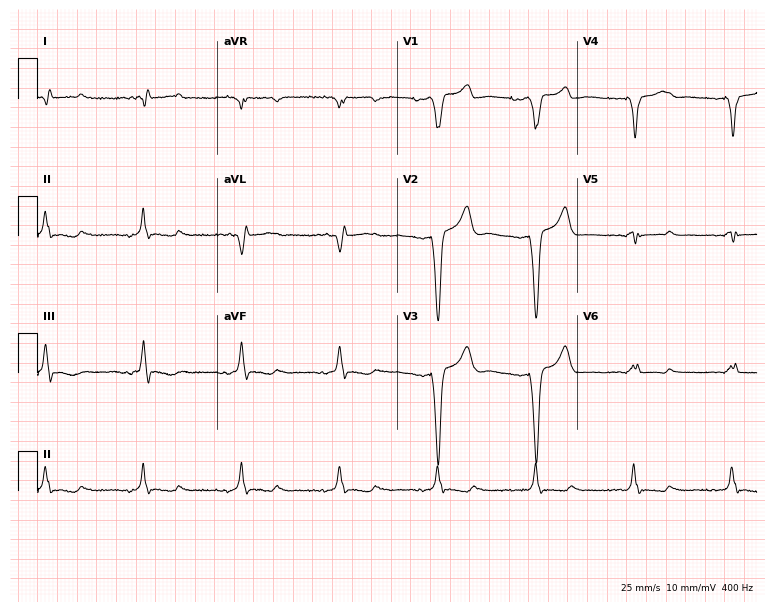
12-lead ECG from a female patient, 74 years old (7.3-second recording at 400 Hz). Shows left bundle branch block (LBBB).